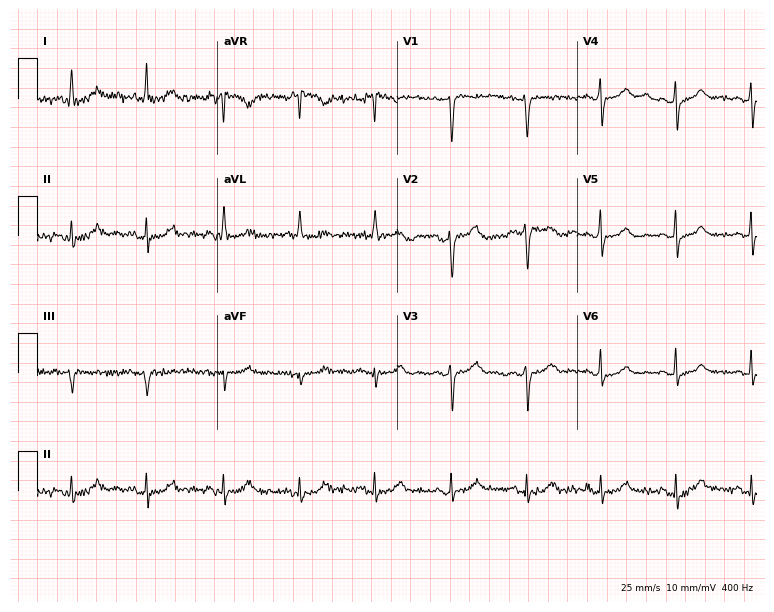
12-lead ECG from a 57-year-old woman (7.3-second recording at 400 Hz). No first-degree AV block, right bundle branch block (RBBB), left bundle branch block (LBBB), sinus bradycardia, atrial fibrillation (AF) or sinus tachycardia recorded for this tracing.